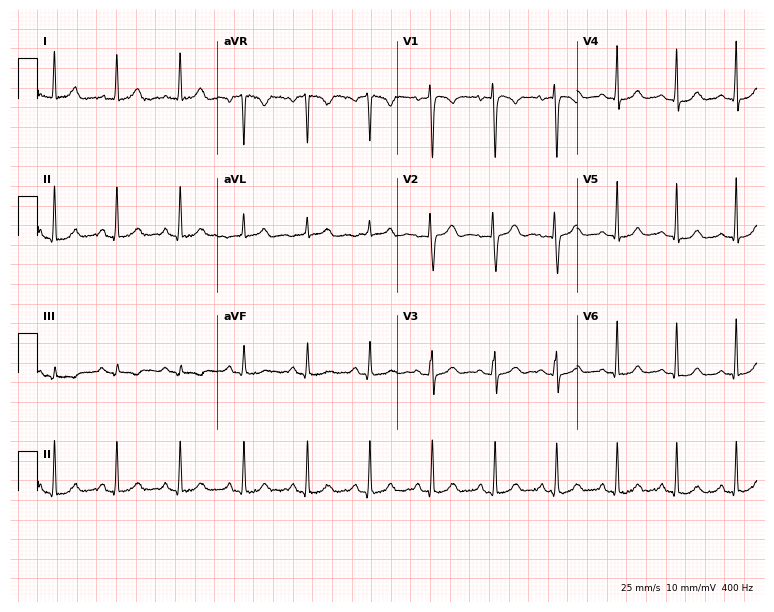
Electrocardiogram (7.3-second recording at 400 Hz), a 43-year-old female patient. Overall reading on record: normal ECG.